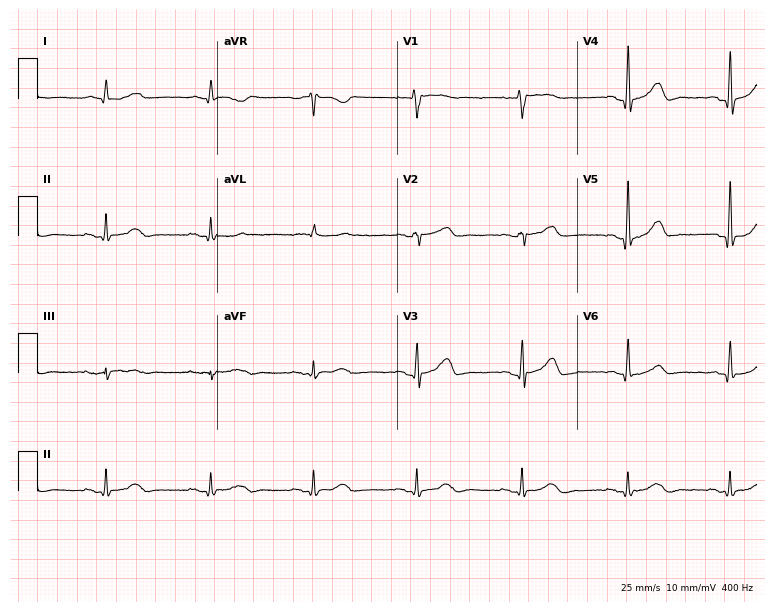
Electrocardiogram (7.3-second recording at 400 Hz), a 79-year-old man. Overall reading on record: normal ECG.